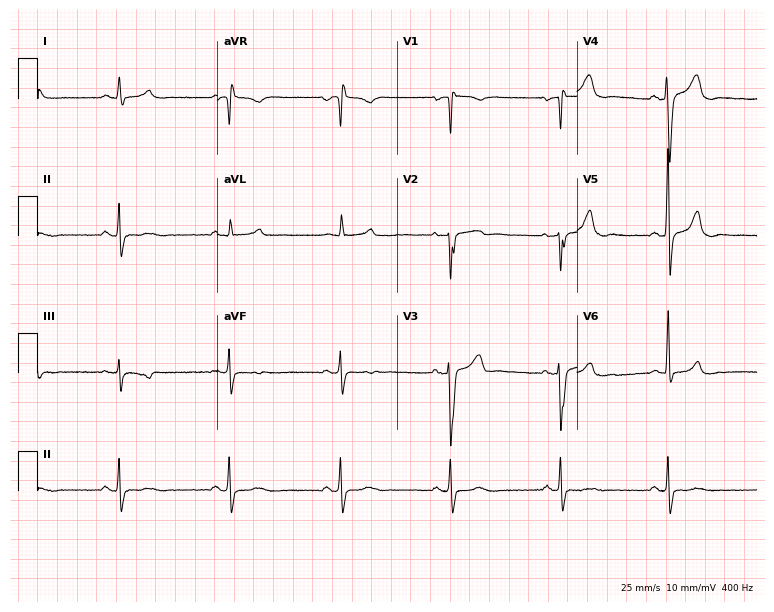
12-lead ECG (7.3-second recording at 400 Hz) from a 62-year-old male. Screened for six findings — first-degree AV block, right bundle branch block (RBBB), left bundle branch block (LBBB), sinus bradycardia, atrial fibrillation (AF), sinus tachycardia — none is recorded.